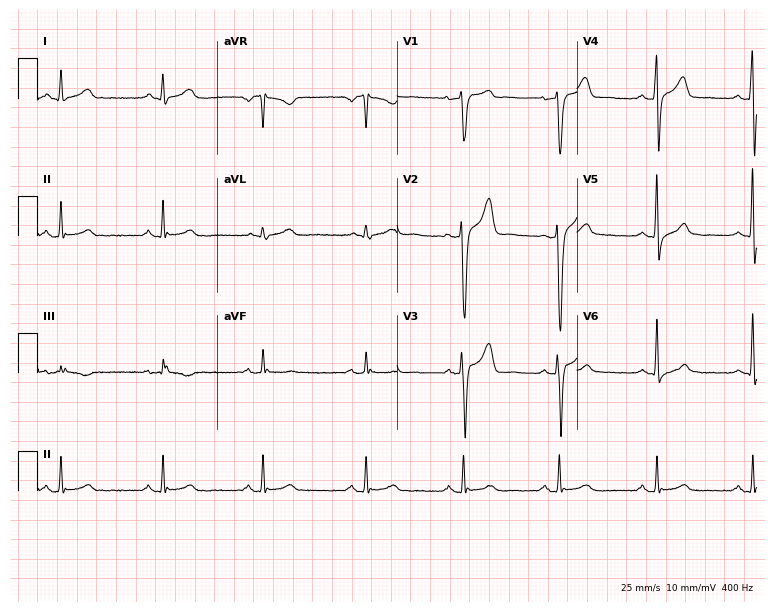
Standard 12-lead ECG recorded from a 40-year-old man (7.3-second recording at 400 Hz). Read as a normal ECG.